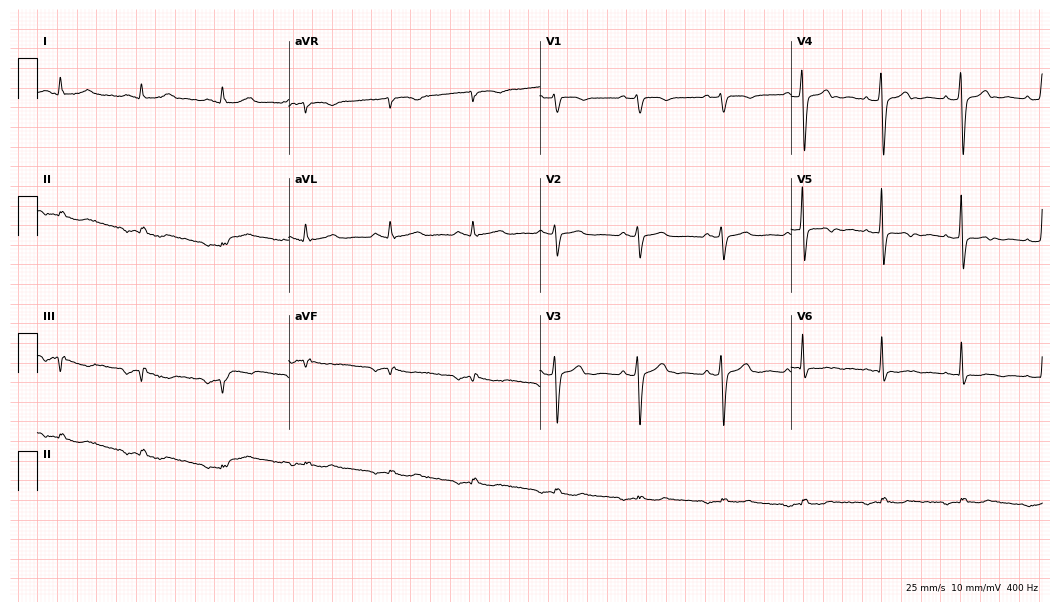
12-lead ECG from a 72-year-old male patient (10.2-second recording at 400 Hz). No first-degree AV block, right bundle branch block, left bundle branch block, sinus bradycardia, atrial fibrillation or sinus tachycardia recorded for this tracing. Other findings, if any, are not listed.